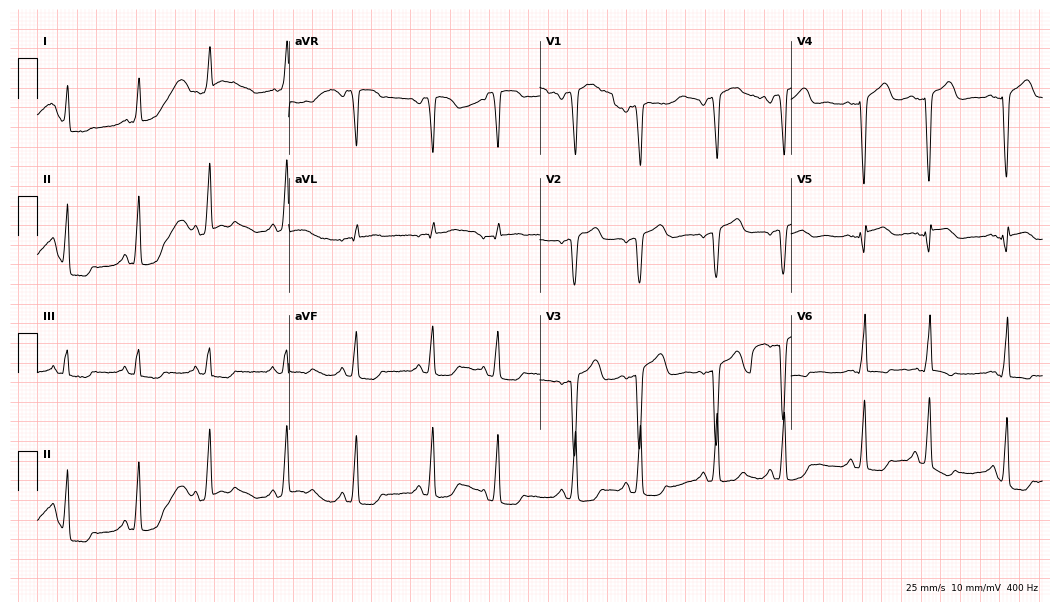
Electrocardiogram (10.2-second recording at 400 Hz), a 52-year-old woman. Of the six screened findings (first-degree AV block, right bundle branch block (RBBB), left bundle branch block (LBBB), sinus bradycardia, atrial fibrillation (AF), sinus tachycardia), none is recorded.